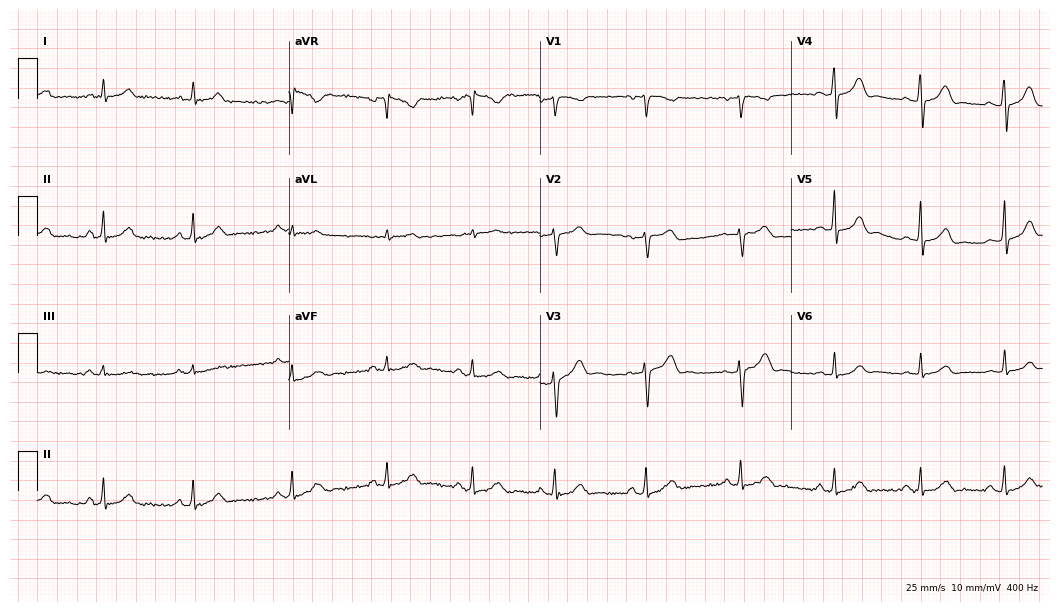
Electrocardiogram, a 31-year-old woman. Overall reading on record: normal ECG.